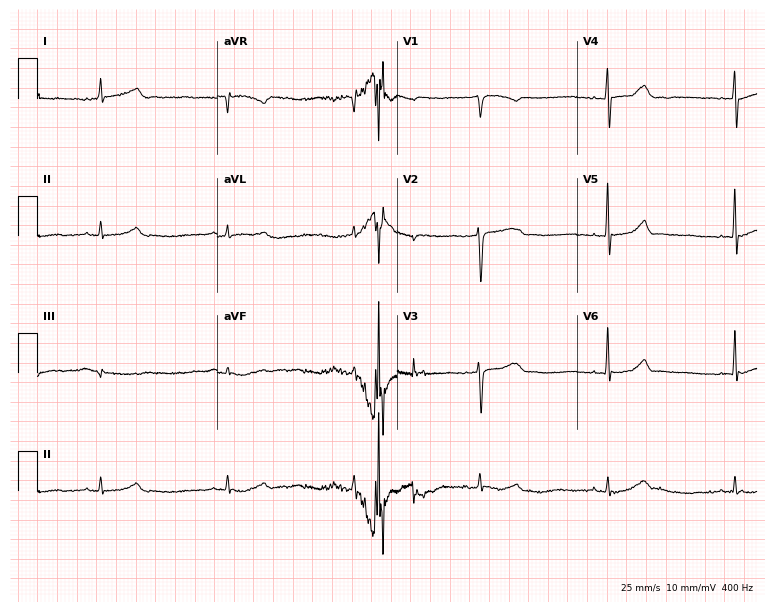
Resting 12-lead electrocardiogram (7.3-second recording at 400 Hz). Patient: an 85-year-old female. The tracing shows sinus bradycardia (a sinus rate of 50 beats per minute or less).